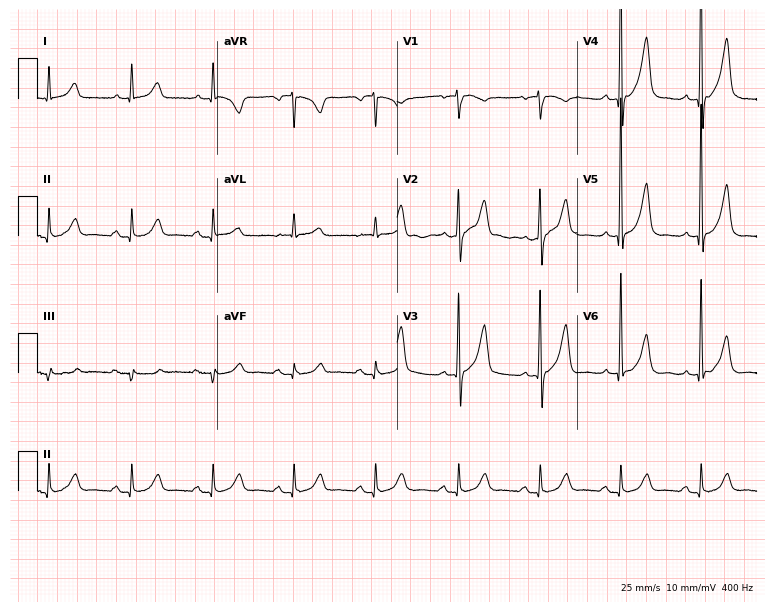
Standard 12-lead ECG recorded from a 66-year-old male (7.3-second recording at 400 Hz). None of these six findings is recorded: first-degree AV block, right bundle branch block, left bundle branch block, sinus bradycardia, atrial fibrillation, sinus tachycardia. Only these six findings were labelled.